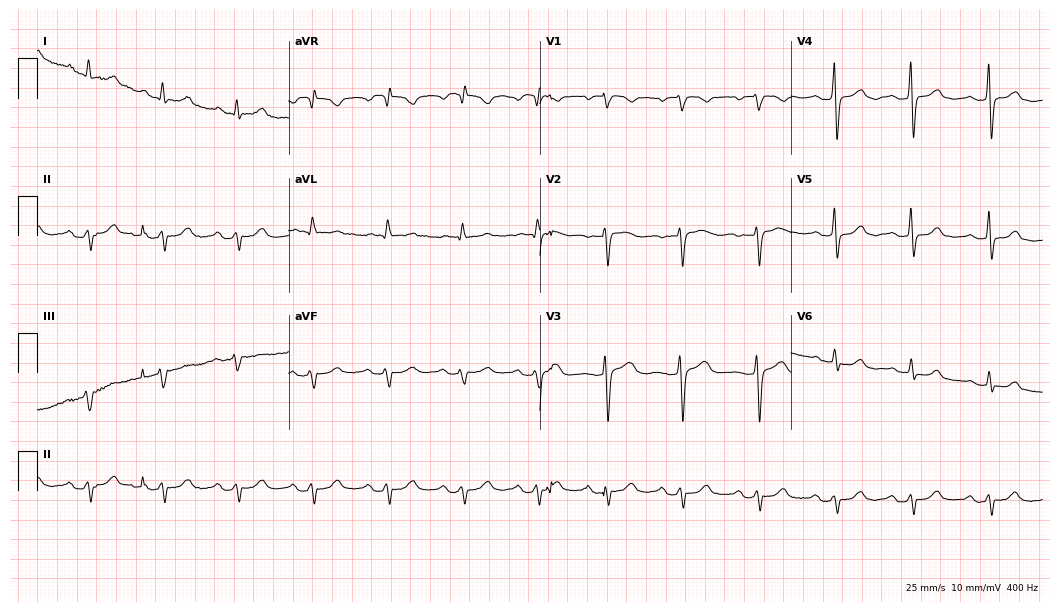
Electrocardiogram, a woman, 51 years old. Interpretation includes first-degree AV block.